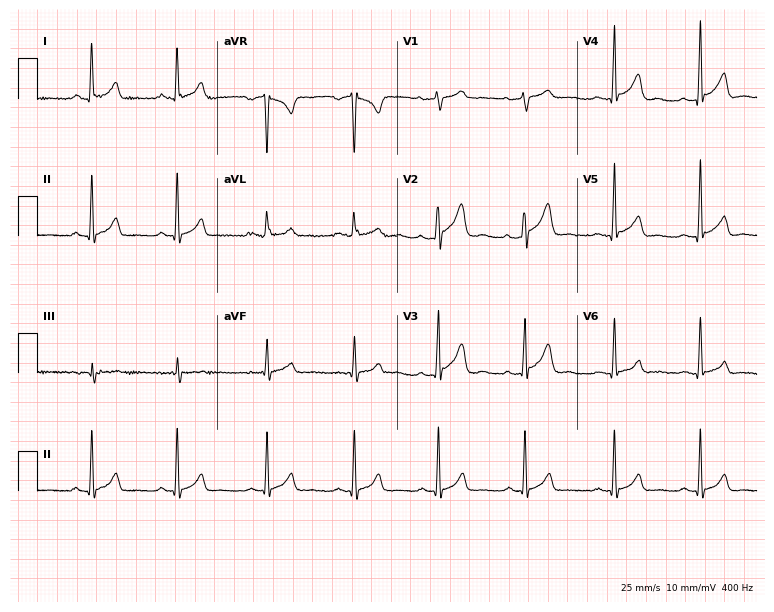
Electrocardiogram (7.3-second recording at 400 Hz), a male patient, 30 years old. Overall reading on record: normal ECG.